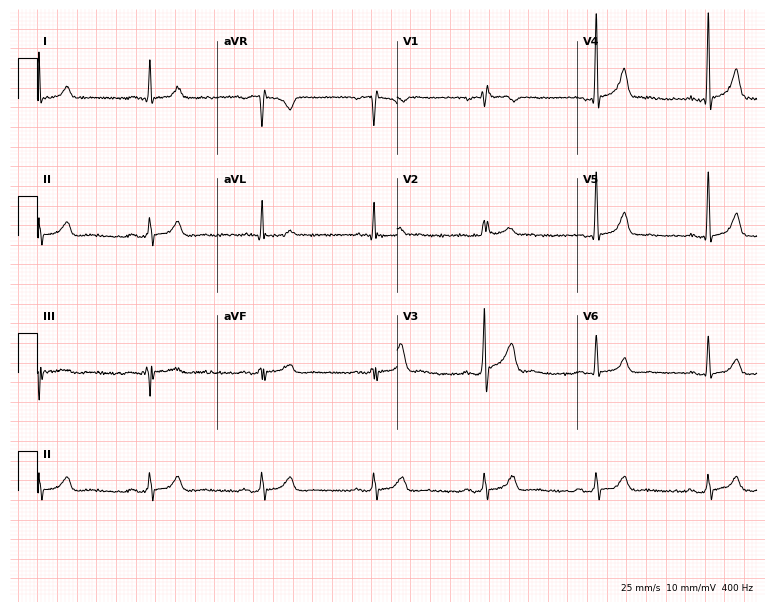
12-lead ECG (7.3-second recording at 400 Hz) from a male patient, 57 years old. Screened for six findings — first-degree AV block, right bundle branch block (RBBB), left bundle branch block (LBBB), sinus bradycardia, atrial fibrillation (AF), sinus tachycardia — none is recorded. Other findings, if any, are not listed.